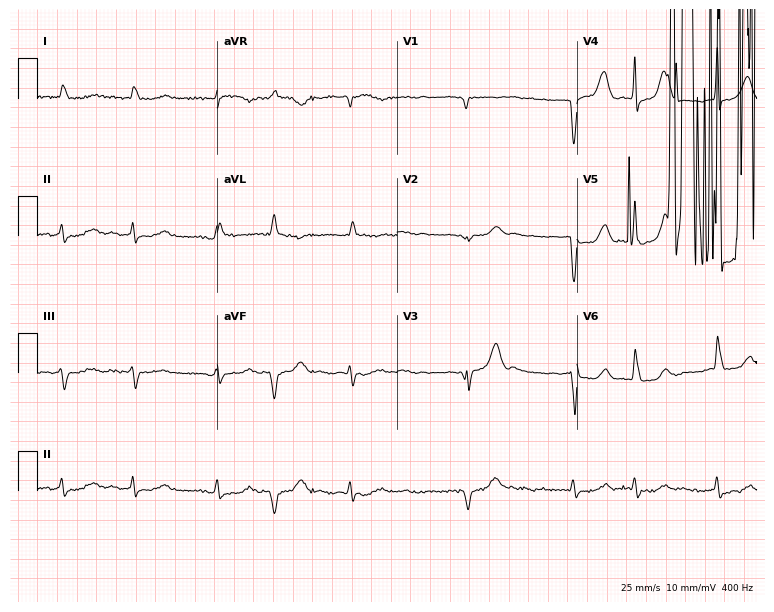
Resting 12-lead electrocardiogram. Patient: an 84-year-old male. None of these six findings is recorded: first-degree AV block, right bundle branch block (RBBB), left bundle branch block (LBBB), sinus bradycardia, atrial fibrillation (AF), sinus tachycardia.